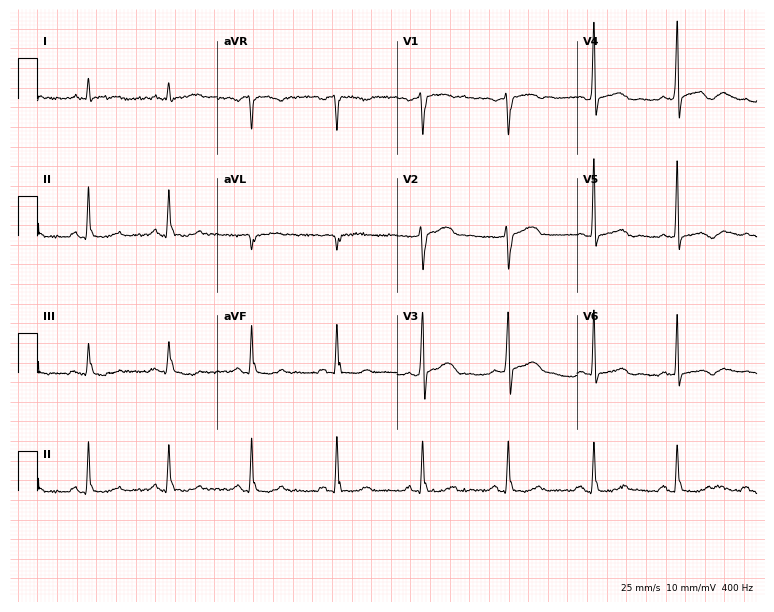
Resting 12-lead electrocardiogram (7.3-second recording at 400 Hz). Patient: a 58-year-old male. None of these six findings is recorded: first-degree AV block, right bundle branch block, left bundle branch block, sinus bradycardia, atrial fibrillation, sinus tachycardia.